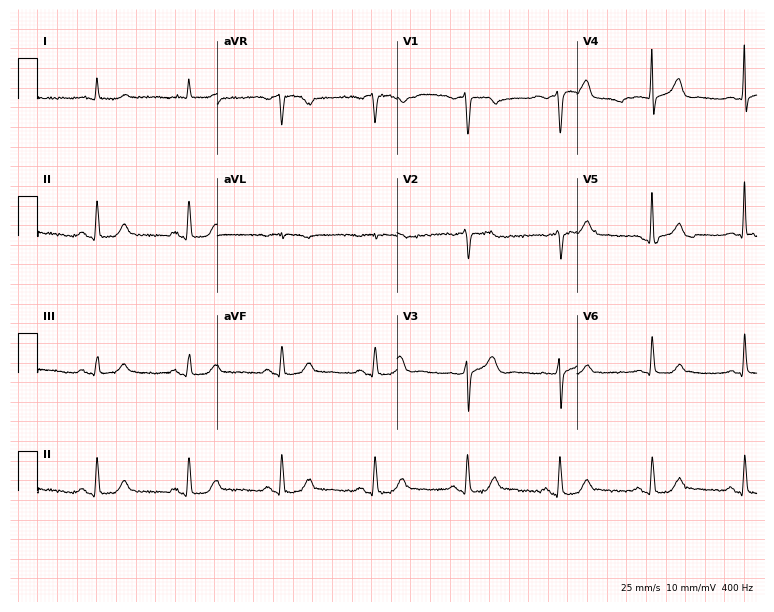
Resting 12-lead electrocardiogram. Patient: a man, 83 years old. Read as a normal ECG.